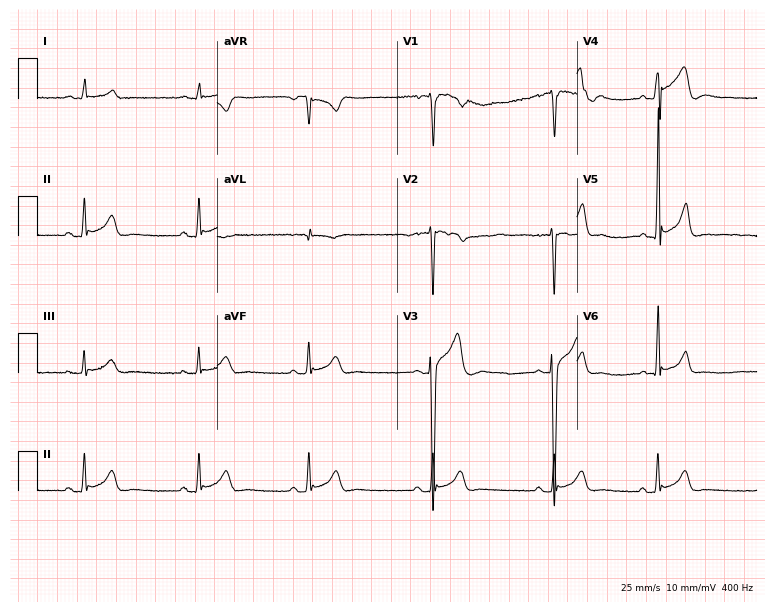
Resting 12-lead electrocardiogram (7.3-second recording at 400 Hz). Patient: an 18-year-old man. None of these six findings is recorded: first-degree AV block, right bundle branch block, left bundle branch block, sinus bradycardia, atrial fibrillation, sinus tachycardia.